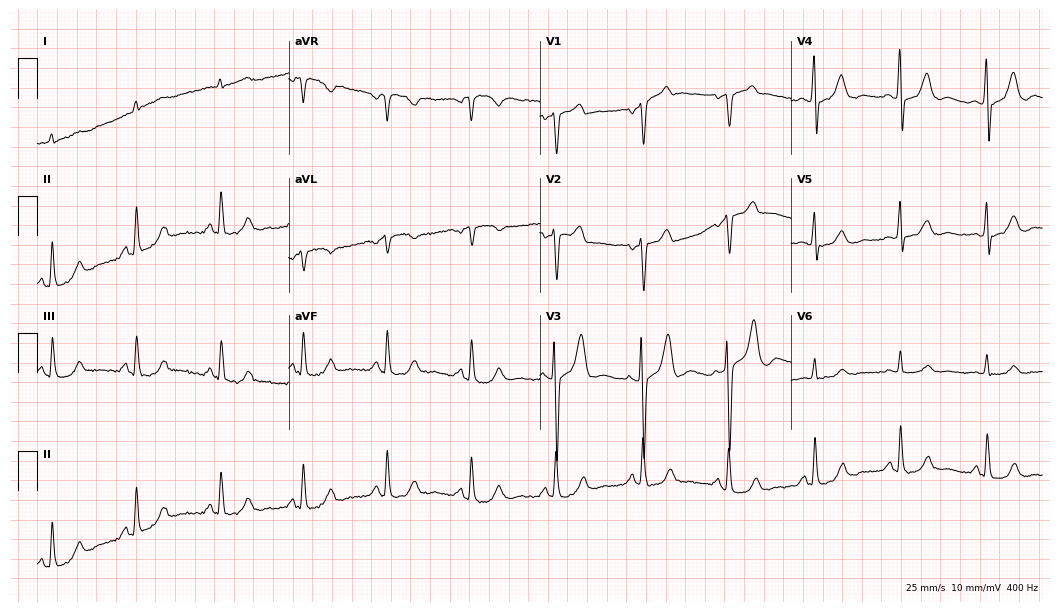
Resting 12-lead electrocardiogram. Patient: a 70-year-old male. None of these six findings is recorded: first-degree AV block, right bundle branch block, left bundle branch block, sinus bradycardia, atrial fibrillation, sinus tachycardia. Only these six findings were labelled.